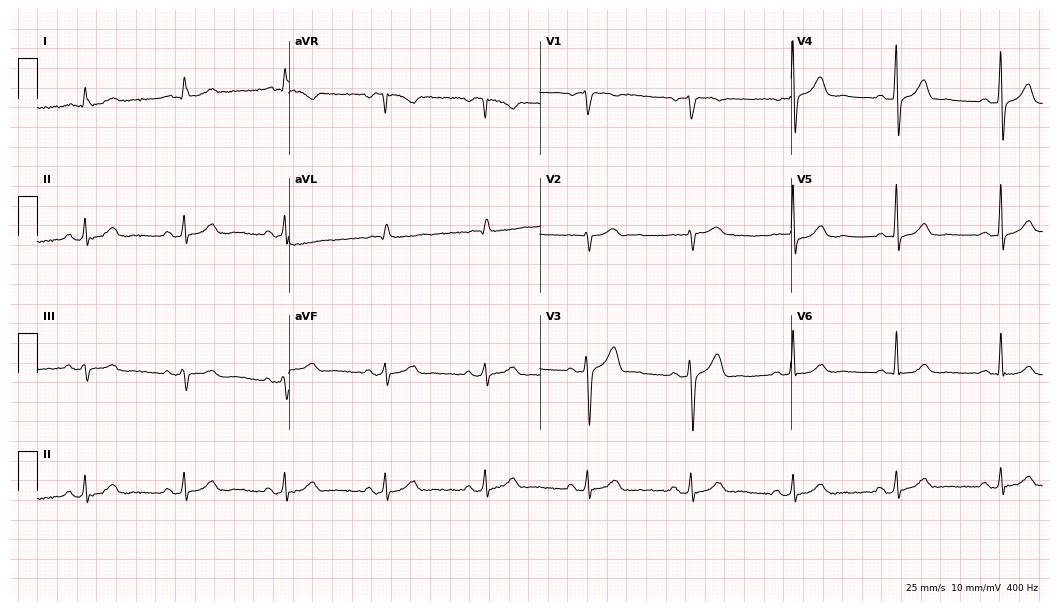
Standard 12-lead ECG recorded from a 60-year-old male patient. Read as a normal ECG.